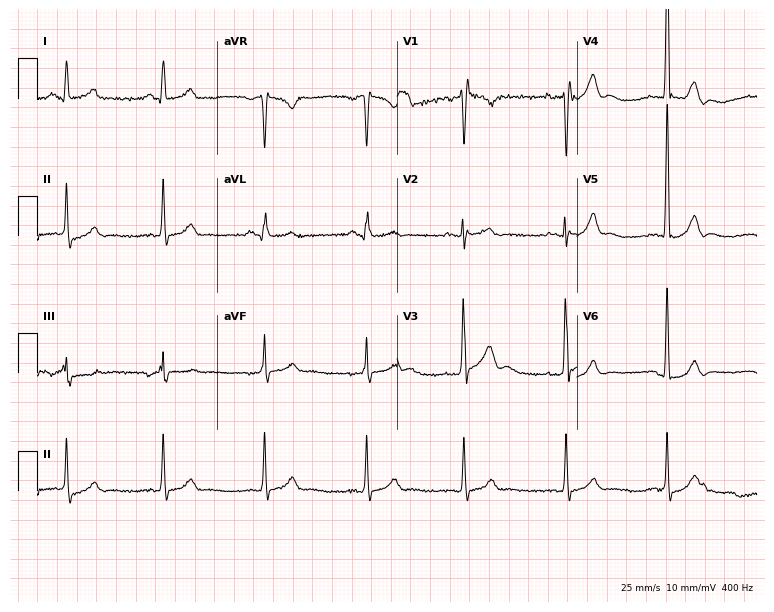
Standard 12-lead ECG recorded from a man, 57 years old (7.3-second recording at 400 Hz). None of these six findings is recorded: first-degree AV block, right bundle branch block, left bundle branch block, sinus bradycardia, atrial fibrillation, sinus tachycardia.